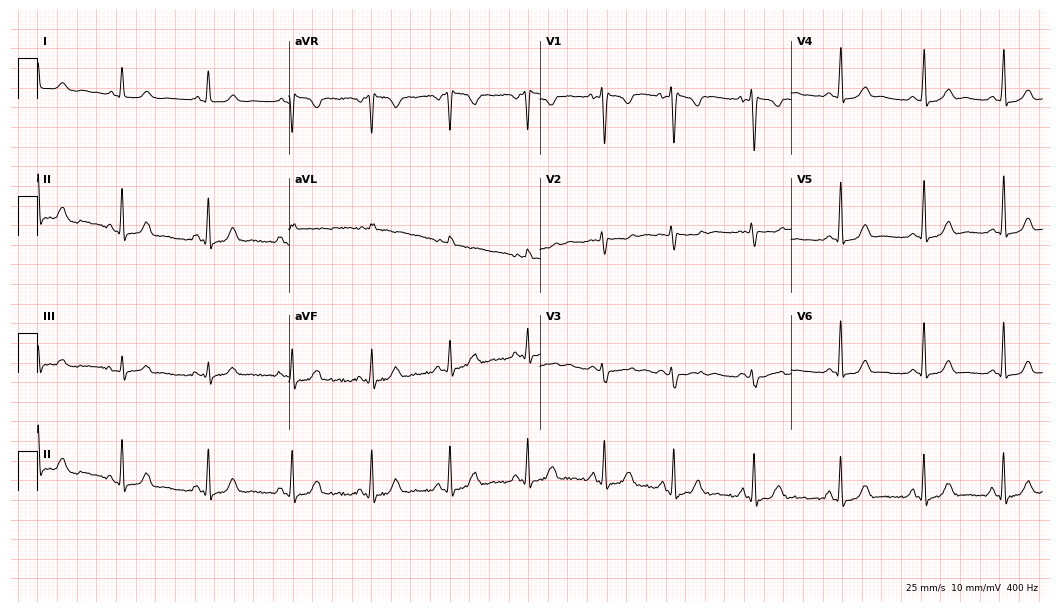
Electrocardiogram, a female patient, 23 years old. Of the six screened findings (first-degree AV block, right bundle branch block, left bundle branch block, sinus bradycardia, atrial fibrillation, sinus tachycardia), none is recorded.